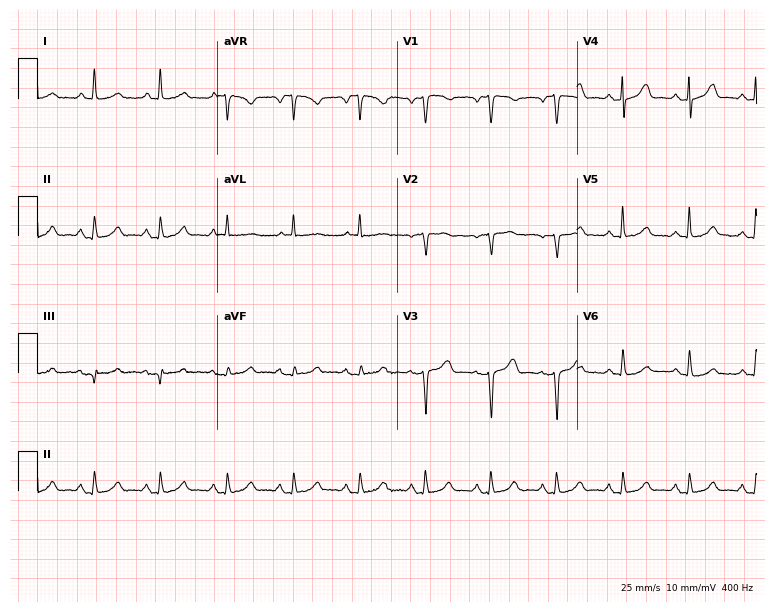
Electrocardiogram (7.3-second recording at 400 Hz), a 63-year-old female. Of the six screened findings (first-degree AV block, right bundle branch block, left bundle branch block, sinus bradycardia, atrial fibrillation, sinus tachycardia), none is recorded. Other findings, if any, are not listed.